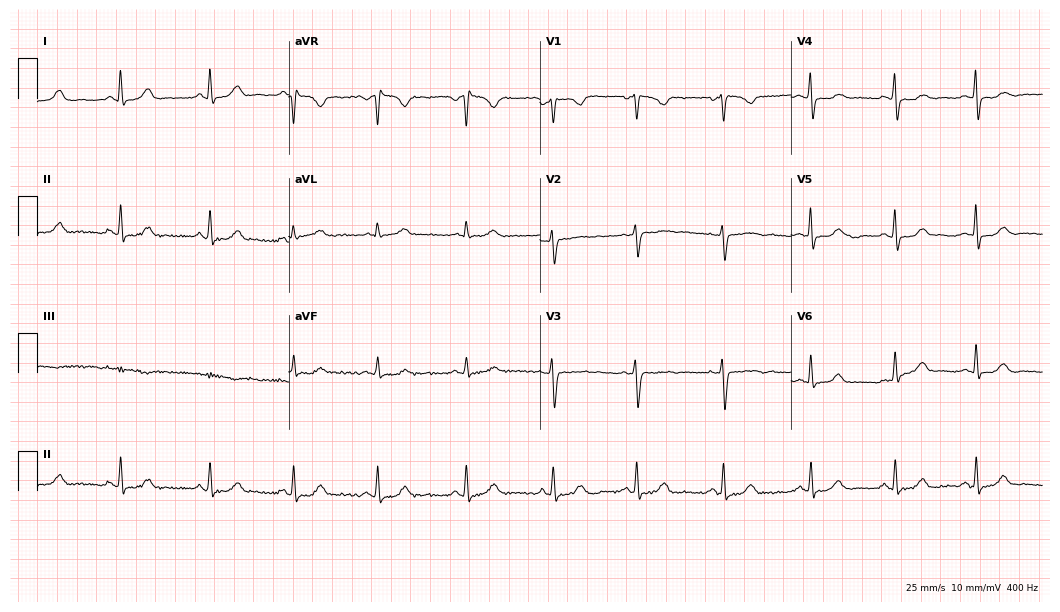
Resting 12-lead electrocardiogram (10.2-second recording at 400 Hz). Patient: a 46-year-old female. Read as a normal ECG.